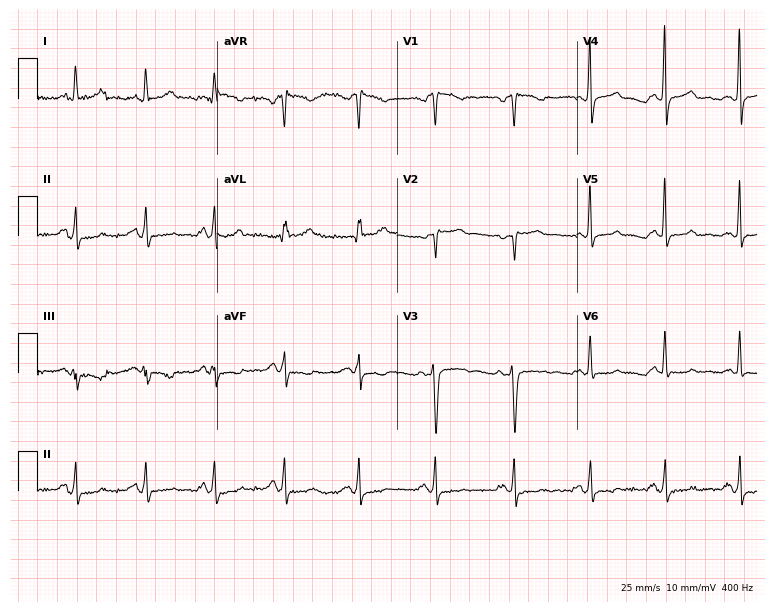
12-lead ECG (7.3-second recording at 400 Hz) from a 44-year-old female. Screened for six findings — first-degree AV block, right bundle branch block, left bundle branch block, sinus bradycardia, atrial fibrillation, sinus tachycardia — none is recorded. Findings outside these six are not listed.